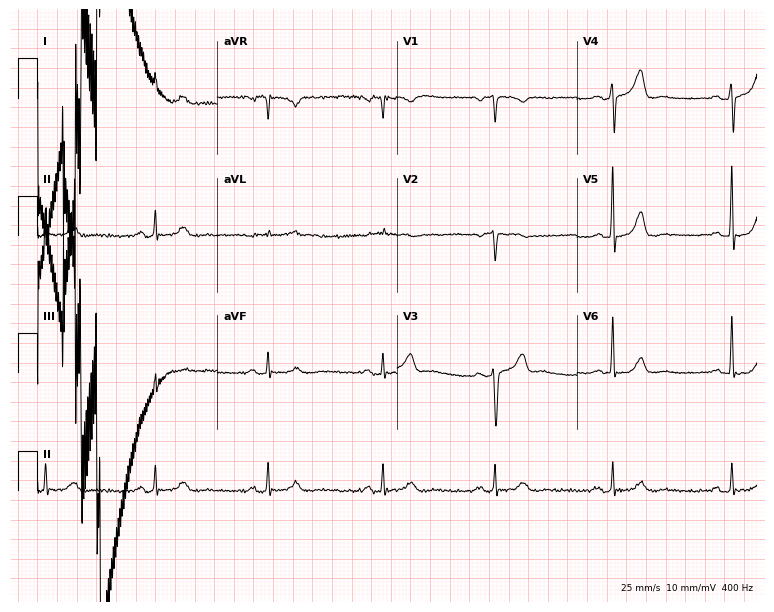
12-lead ECG from a 69-year-old male patient. Screened for six findings — first-degree AV block, right bundle branch block, left bundle branch block, sinus bradycardia, atrial fibrillation, sinus tachycardia — none is recorded.